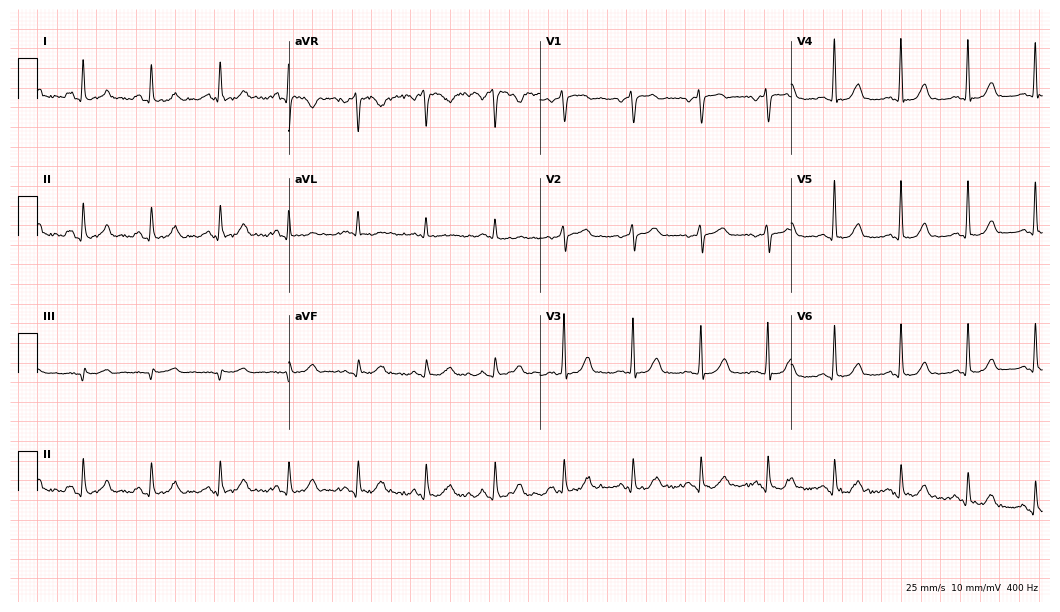
ECG (10.2-second recording at 400 Hz) — a 58-year-old female patient. Labelled as a normal ECG.